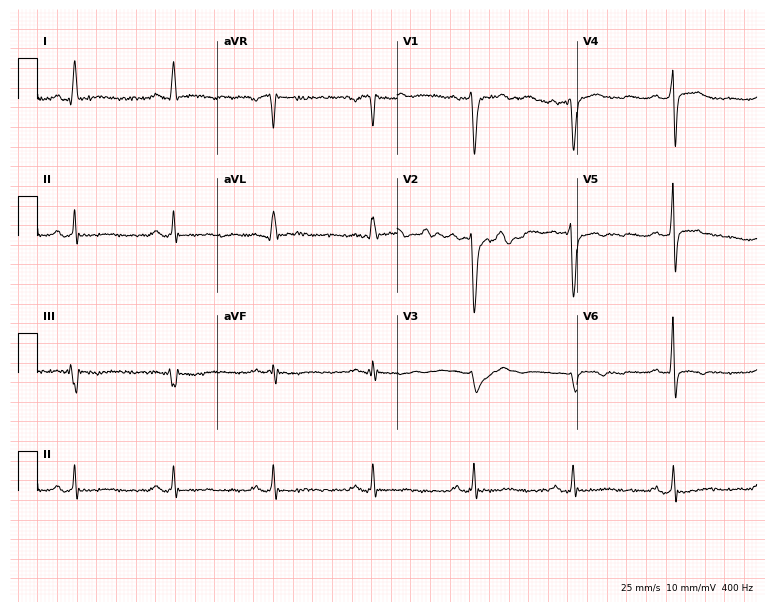
Resting 12-lead electrocardiogram. Patient: a female, 52 years old. None of these six findings is recorded: first-degree AV block, right bundle branch block, left bundle branch block, sinus bradycardia, atrial fibrillation, sinus tachycardia.